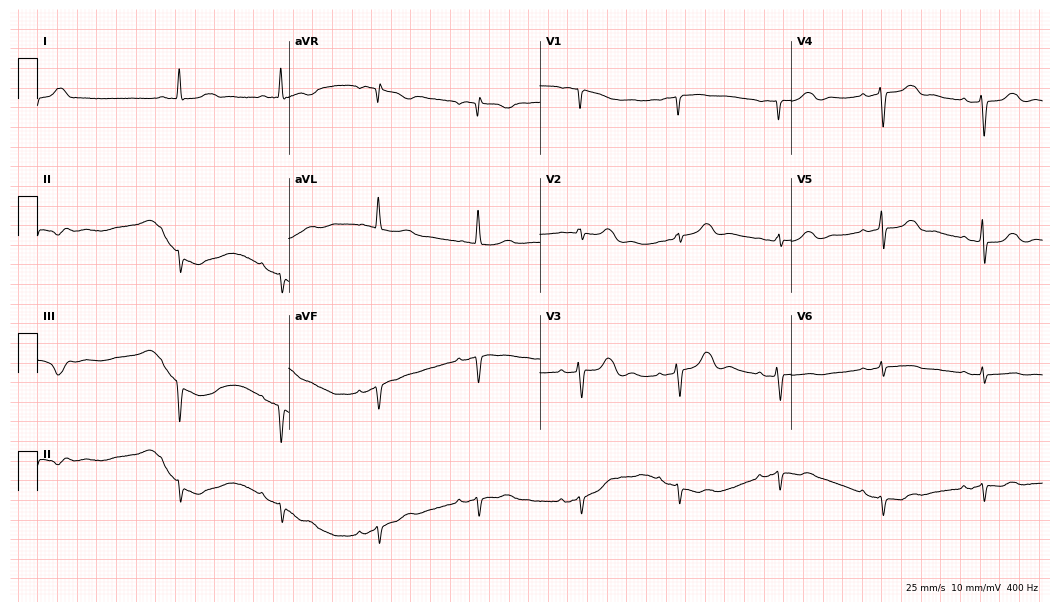
12-lead ECG from a female, 84 years old (10.2-second recording at 400 Hz). No first-degree AV block, right bundle branch block, left bundle branch block, sinus bradycardia, atrial fibrillation or sinus tachycardia recorded for this tracing. Other findings, if any, are not listed.